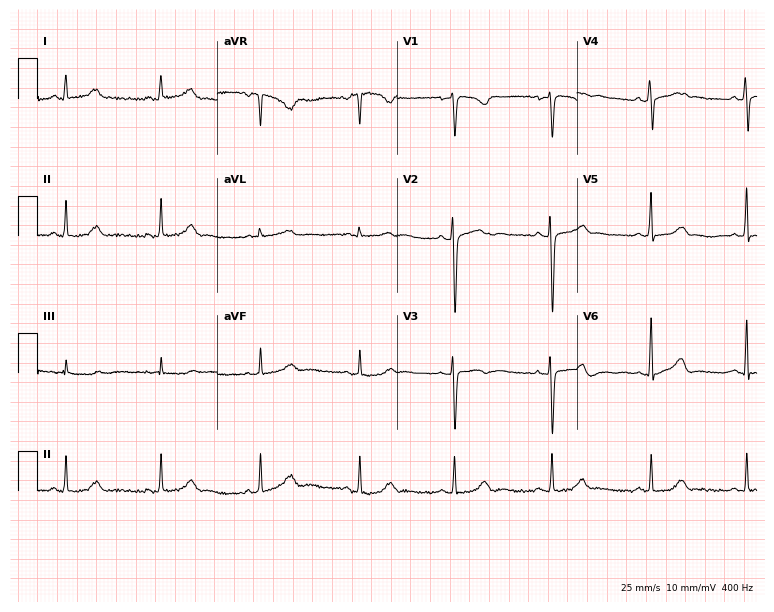
Electrocardiogram (7.3-second recording at 400 Hz), a female, 33 years old. Overall reading on record: normal ECG.